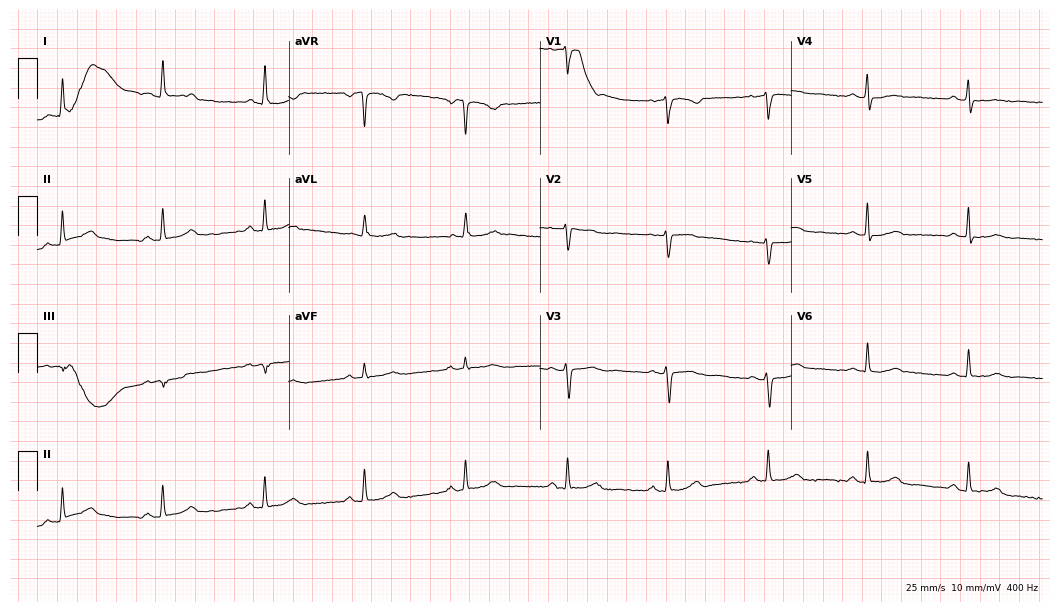
Resting 12-lead electrocardiogram (10.2-second recording at 400 Hz). Patient: a female, 62 years old. Read as a normal ECG.